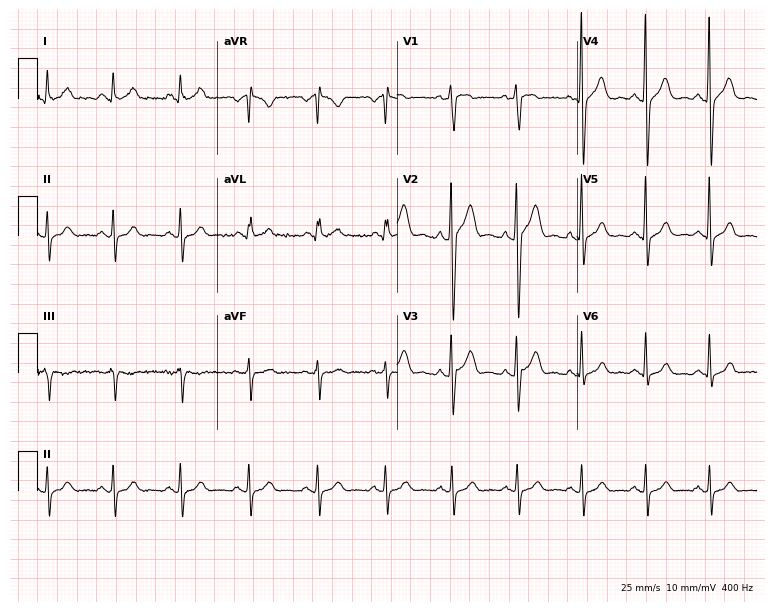
12-lead ECG from a male patient, 47 years old. Recorded interpretation: within normal limits.